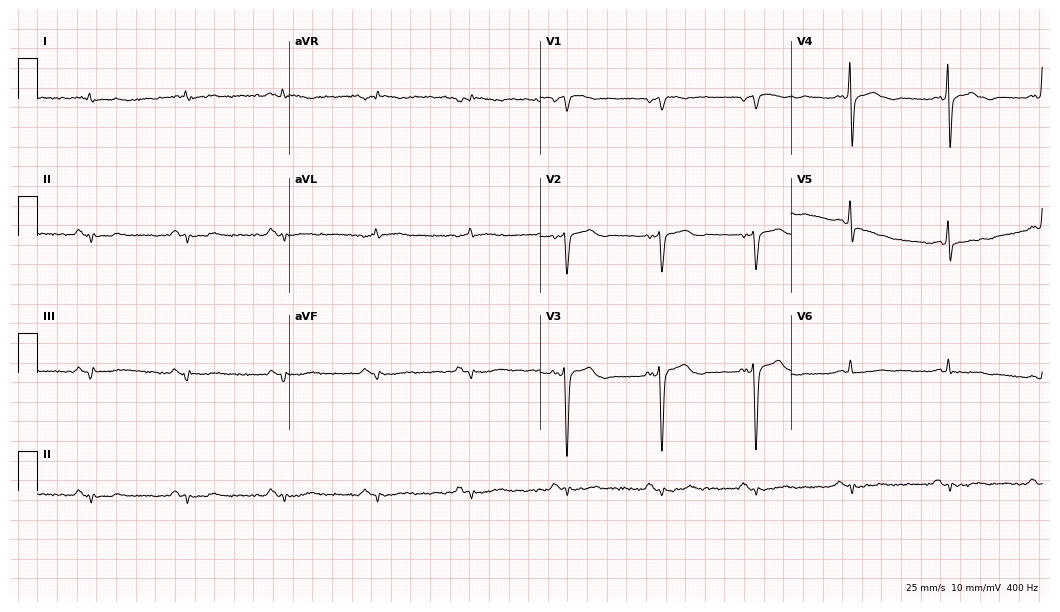
12-lead ECG from a 73-year-old male patient. Screened for six findings — first-degree AV block, right bundle branch block, left bundle branch block, sinus bradycardia, atrial fibrillation, sinus tachycardia — none is recorded.